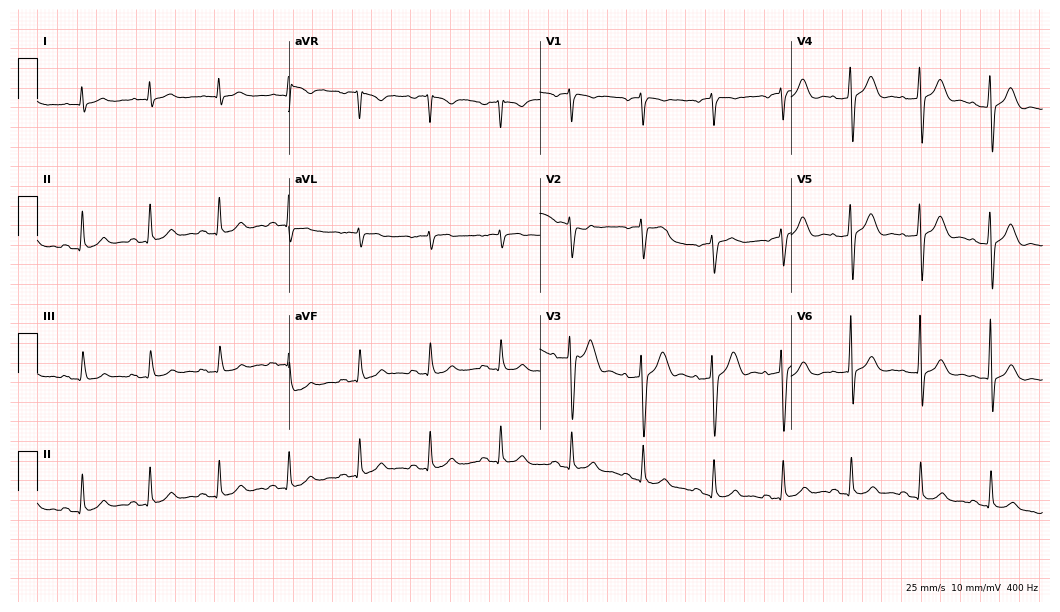
Electrocardiogram, a male, 53 years old. Overall reading on record: normal ECG.